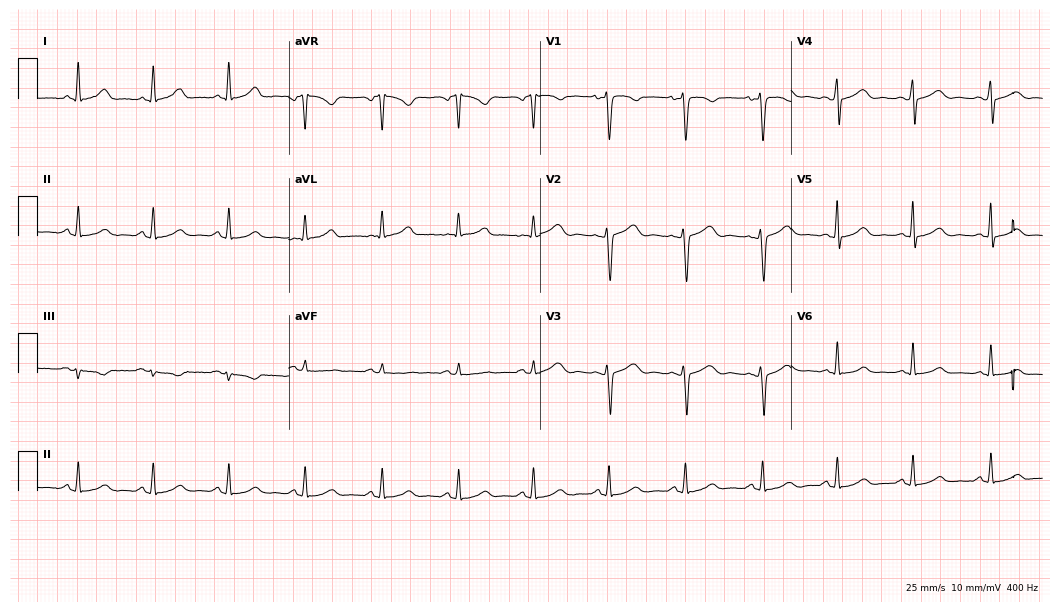
12-lead ECG (10.2-second recording at 400 Hz) from a 43-year-old woman. Screened for six findings — first-degree AV block, right bundle branch block (RBBB), left bundle branch block (LBBB), sinus bradycardia, atrial fibrillation (AF), sinus tachycardia — none is recorded.